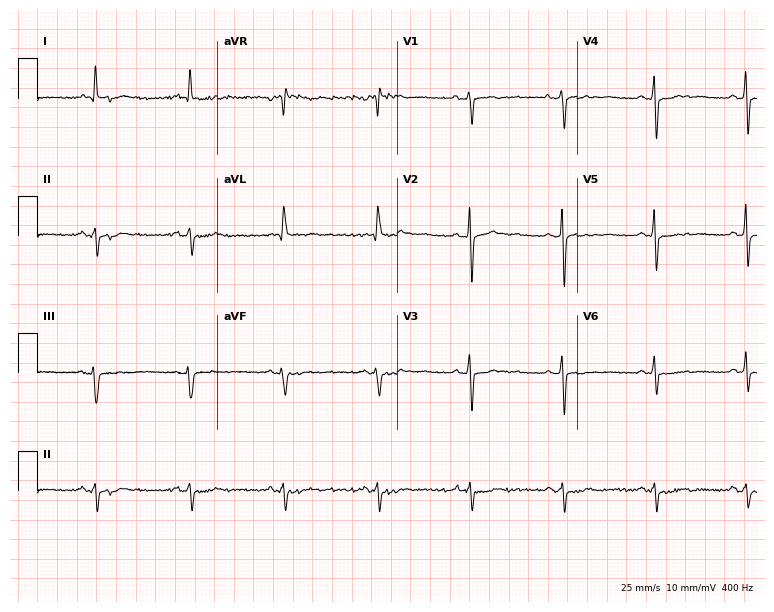
Electrocardiogram, a male patient, 73 years old. Of the six screened findings (first-degree AV block, right bundle branch block, left bundle branch block, sinus bradycardia, atrial fibrillation, sinus tachycardia), none is recorded.